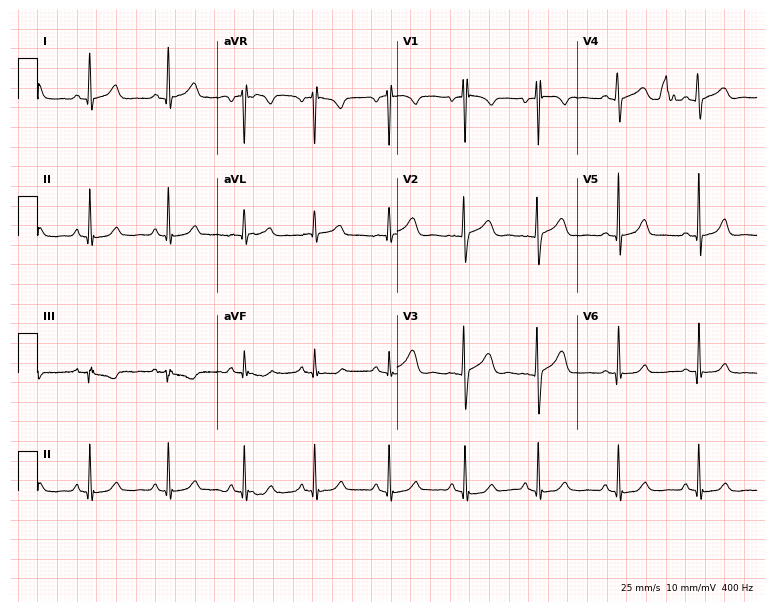
Resting 12-lead electrocardiogram (7.3-second recording at 400 Hz). Patient: a 29-year-old woman. Read as a normal ECG.